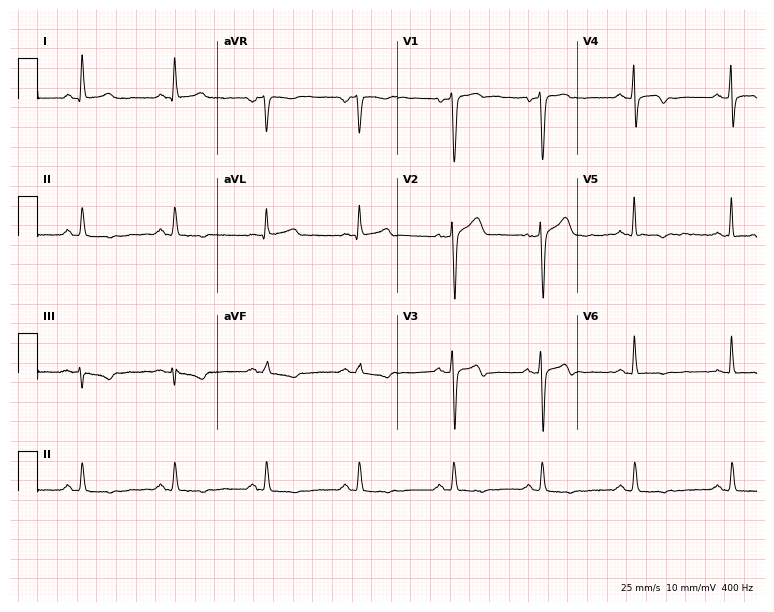
Electrocardiogram, a 46-year-old man. Of the six screened findings (first-degree AV block, right bundle branch block, left bundle branch block, sinus bradycardia, atrial fibrillation, sinus tachycardia), none is recorded.